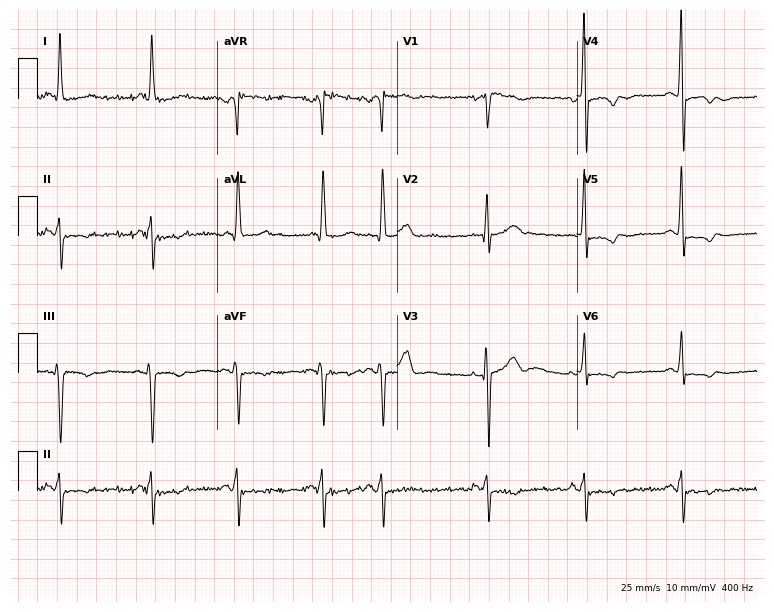
Resting 12-lead electrocardiogram. Patient: a 52-year-old male. None of these six findings is recorded: first-degree AV block, right bundle branch block, left bundle branch block, sinus bradycardia, atrial fibrillation, sinus tachycardia.